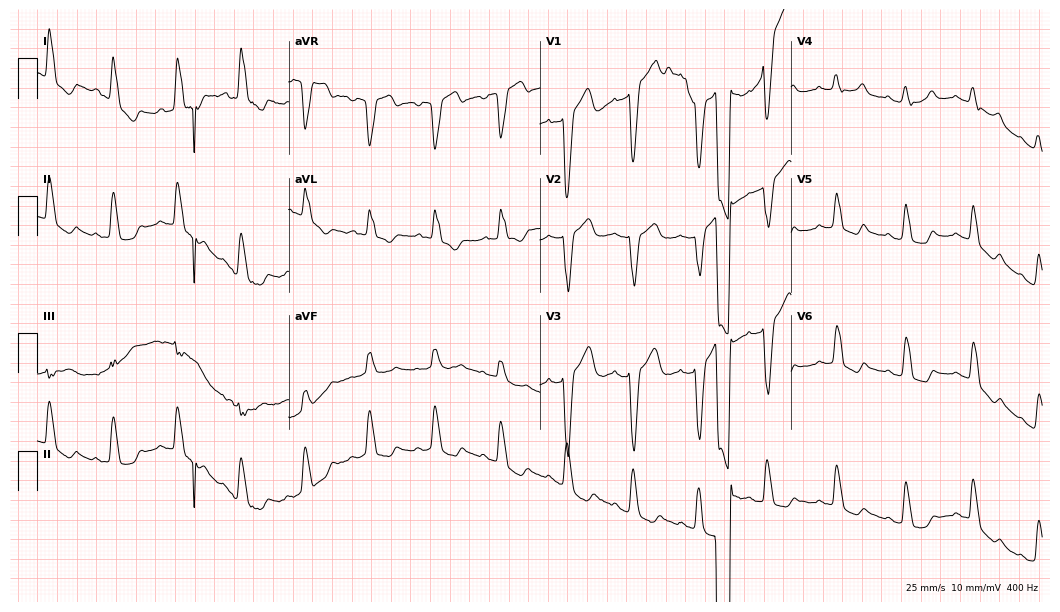
Electrocardiogram (10.2-second recording at 400 Hz), a 63-year-old female. Interpretation includes left bundle branch block (LBBB).